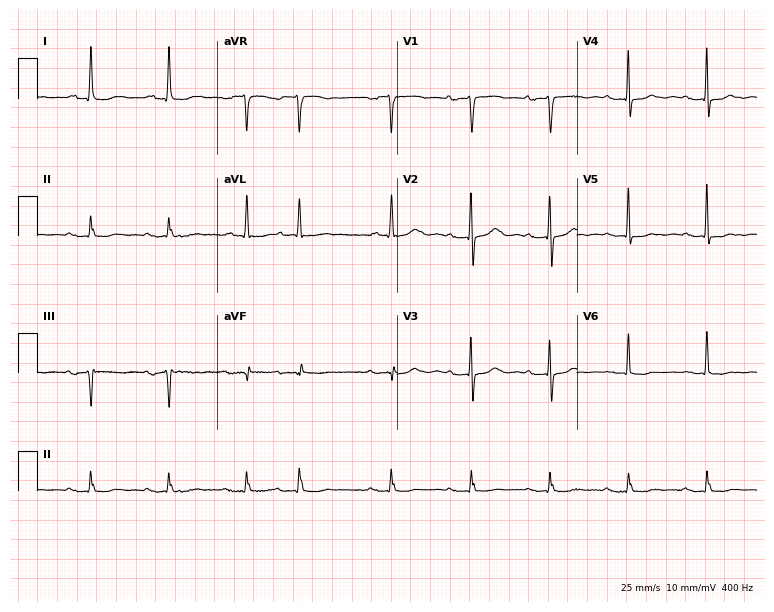
ECG (7.3-second recording at 400 Hz) — a woman, 80 years old. Screened for six findings — first-degree AV block, right bundle branch block (RBBB), left bundle branch block (LBBB), sinus bradycardia, atrial fibrillation (AF), sinus tachycardia — none is recorded. Findings outside these six are not listed.